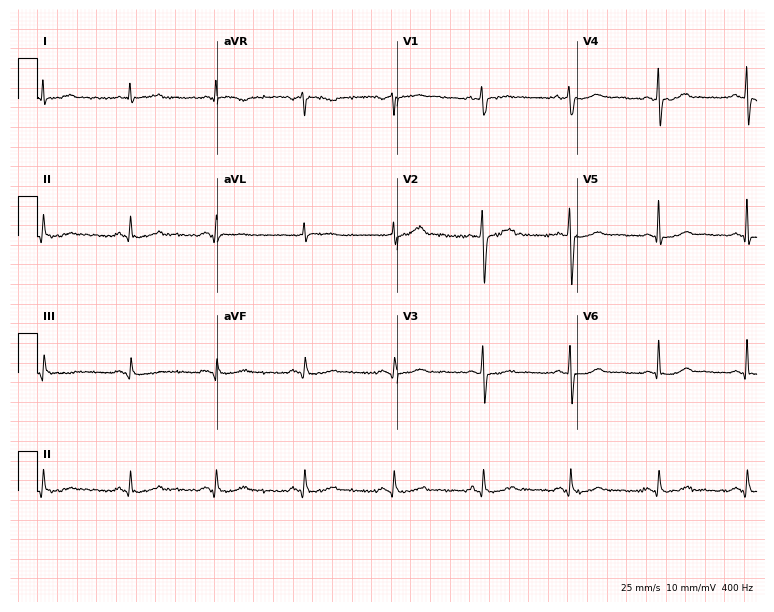
Resting 12-lead electrocardiogram. Patient: a 60-year-old male. None of these six findings is recorded: first-degree AV block, right bundle branch block, left bundle branch block, sinus bradycardia, atrial fibrillation, sinus tachycardia.